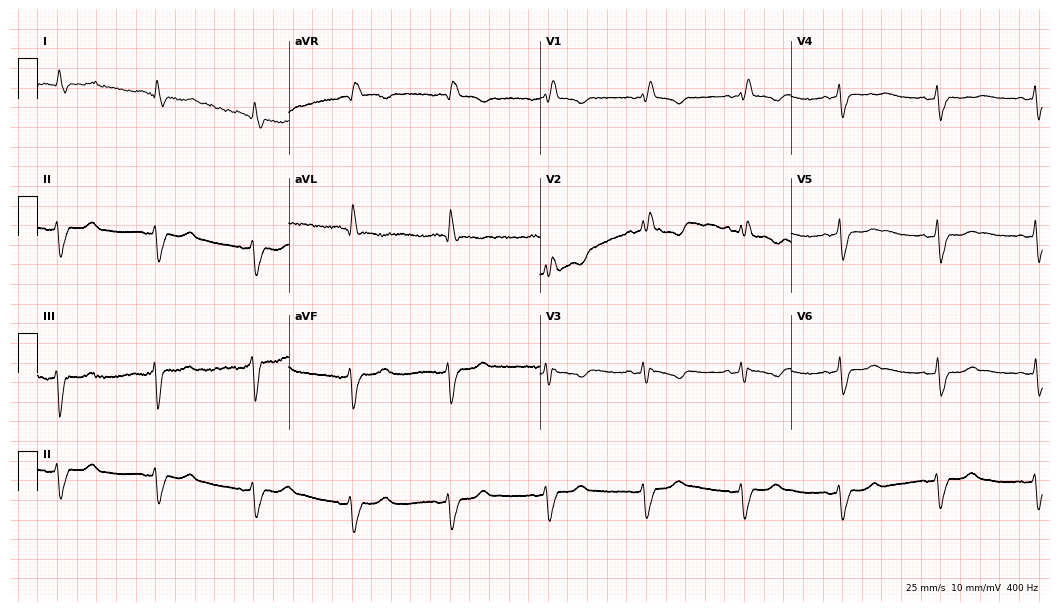
ECG (10.2-second recording at 400 Hz) — a 74-year-old woman. Findings include right bundle branch block.